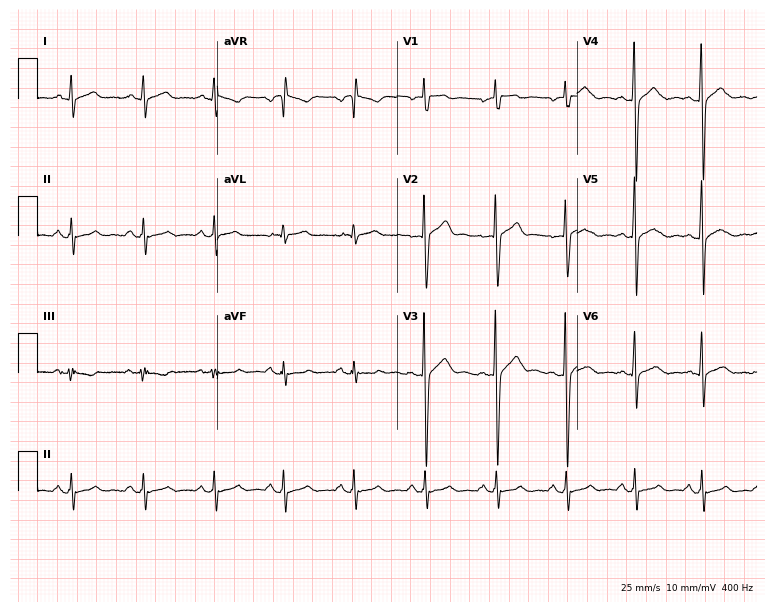
12-lead ECG from a 29-year-old man. Labelled as a normal ECG.